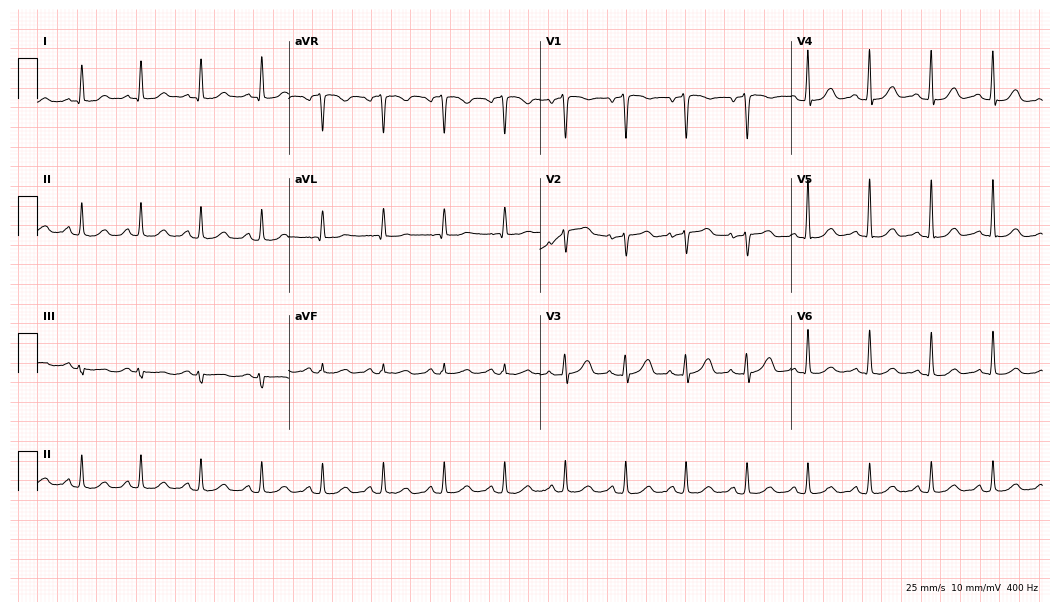
ECG — a woman, 77 years old. Labelled as a normal ECG.